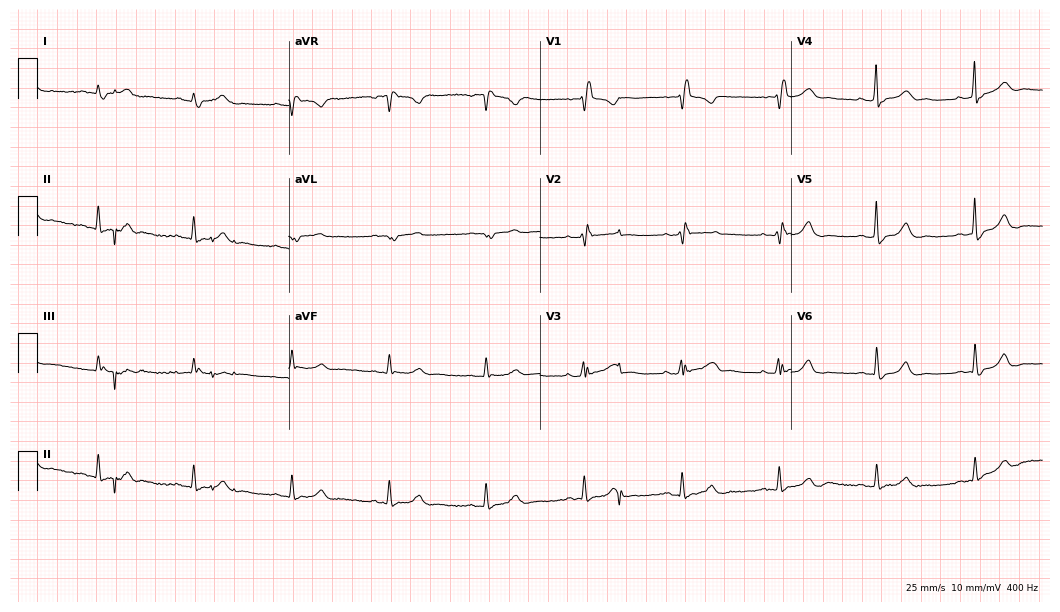
12-lead ECG from a woman, 76 years old (10.2-second recording at 400 Hz). Shows right bundle branch block.